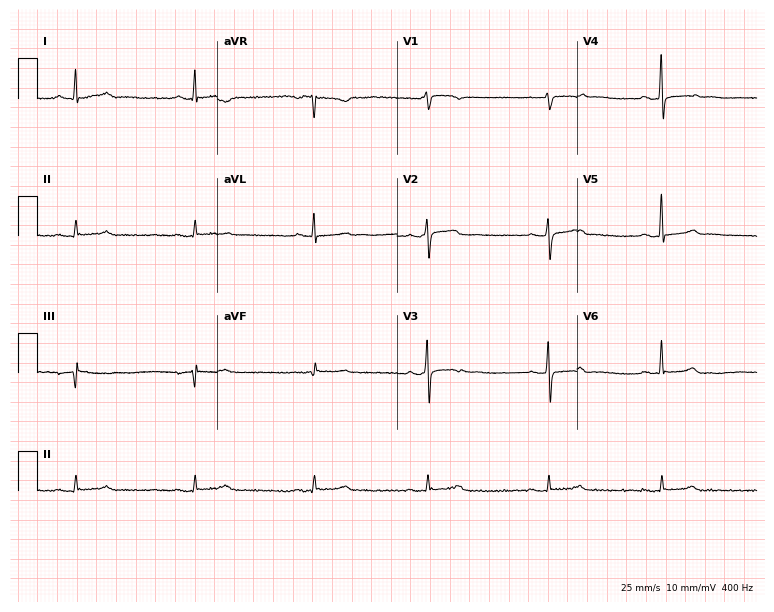
Electrocardiogram, a man, 73 years old. Of the six screened findings (first-degree AV block, right bundle branch block, left bundle branch block, sinus bradycardia, atrial fibrillation, sinus tachycardia), none is recorded. Only these six findings were labelled.